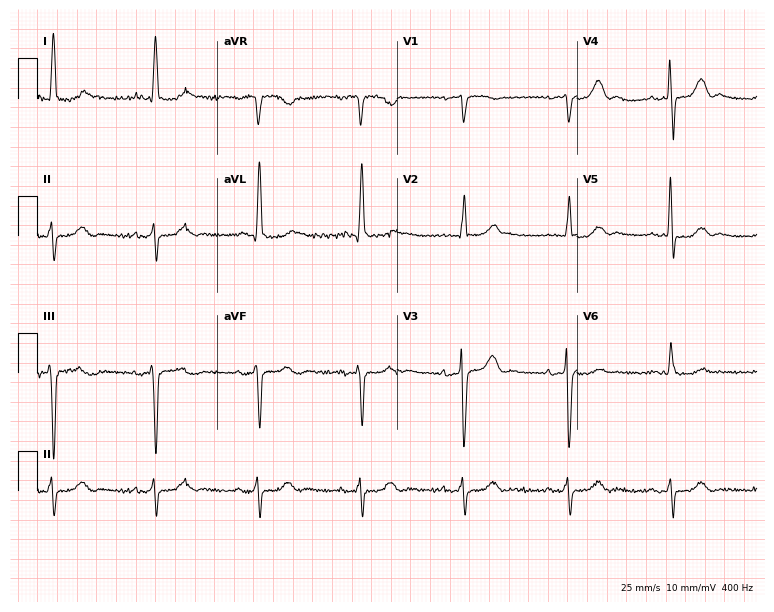
12-lead ECG from a 79-year-old female patient. No first-degree AV block, right bundle branch block (RBBB), left bundle branch block (LBBB), sinus bradycardia, atrial fibrillation (AF) or sinus tachycardia recorded for this tracing. Other findings, if any, are not listed.